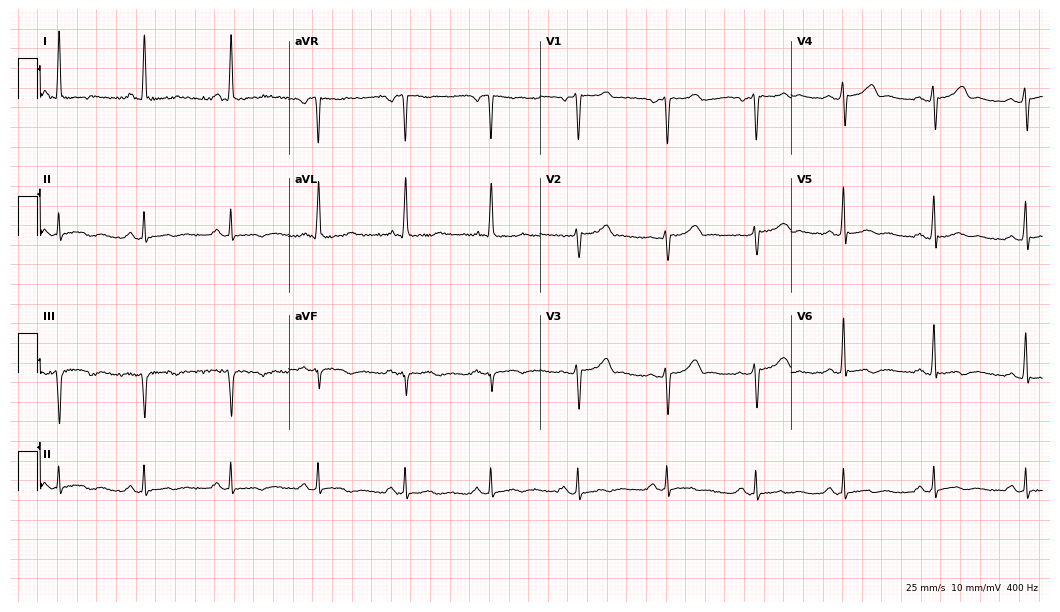
Standard 12-lead ECG recorded from a 48-year-old female patient (10.2-second recording at 400 Hz). Read as a normal ECG.